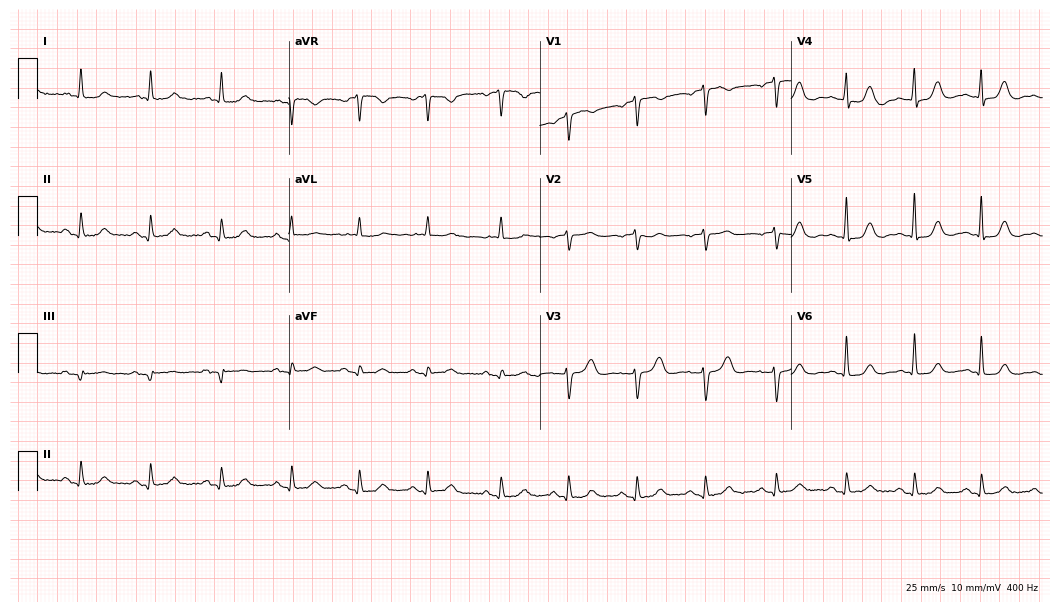
Electrocardiogram (10.2-second recording at 400 Hz), an 83-year-old woman. Overall reading on record: normal ECG.